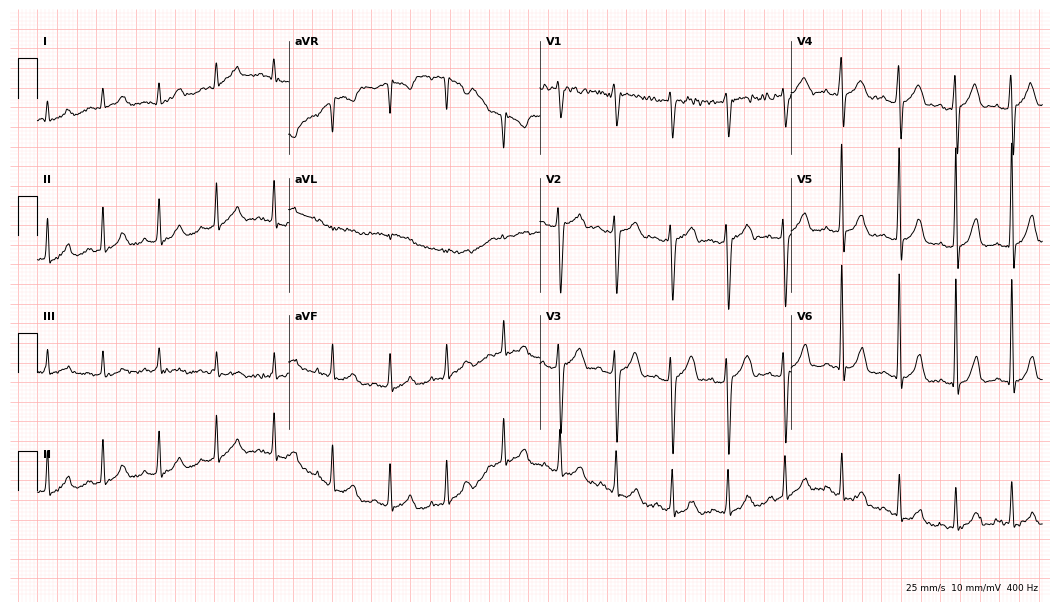
ECG — a 19-year-old male. Findings include sinus tachycardia (a sinus rate of 100 beats per minute or more).